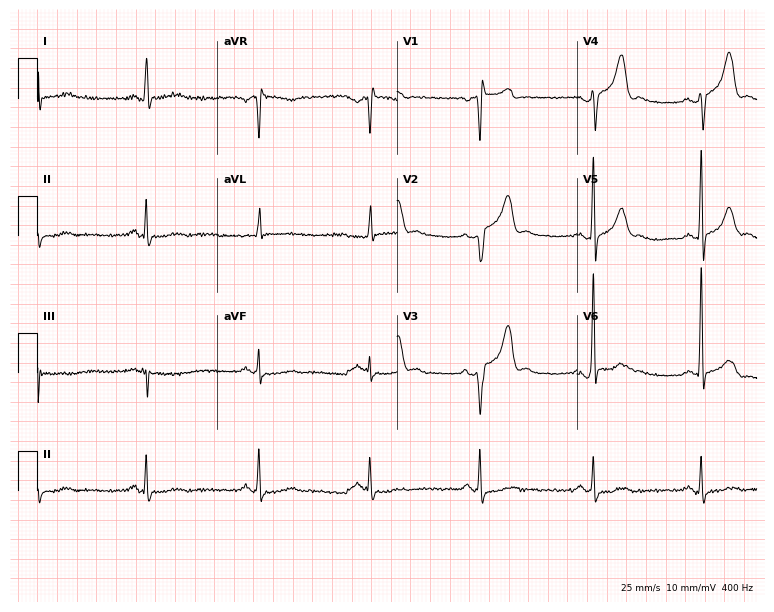
Resting 12-lead electrocardiogram. Patient: a male, 54 years old. None of these six findings is recorded: first-degree AV block, right bundle branch block, left bundle branch block, sinus bradycardia, atrial fibrillation, sinus tachycardia.